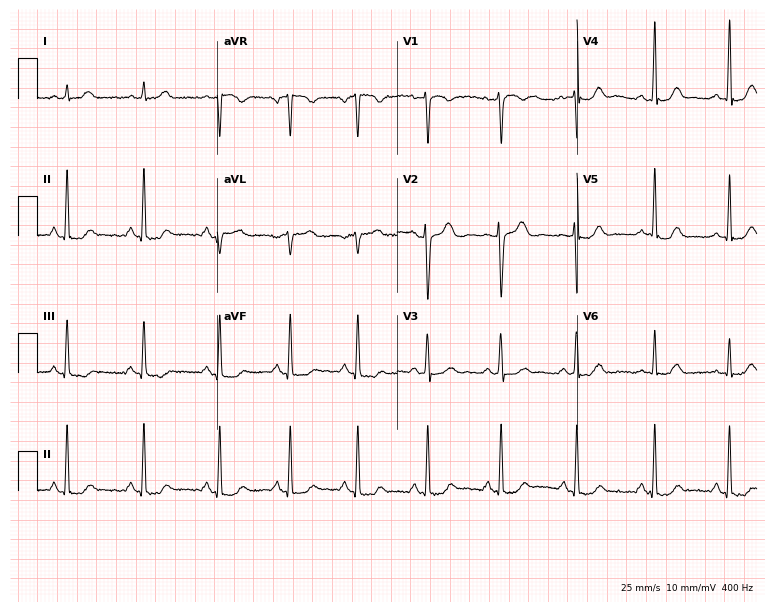
Standard 12-lead ECG recorded from a female patient, 25 years old. None of these six findings is recorded: first-degree AV block, right bundle branch block (RBBB), left bundle branch block (LBBB), sinus bradycardia, atrial fibrillation (AF), sinus tachycardia. Only these six findings were labelled.